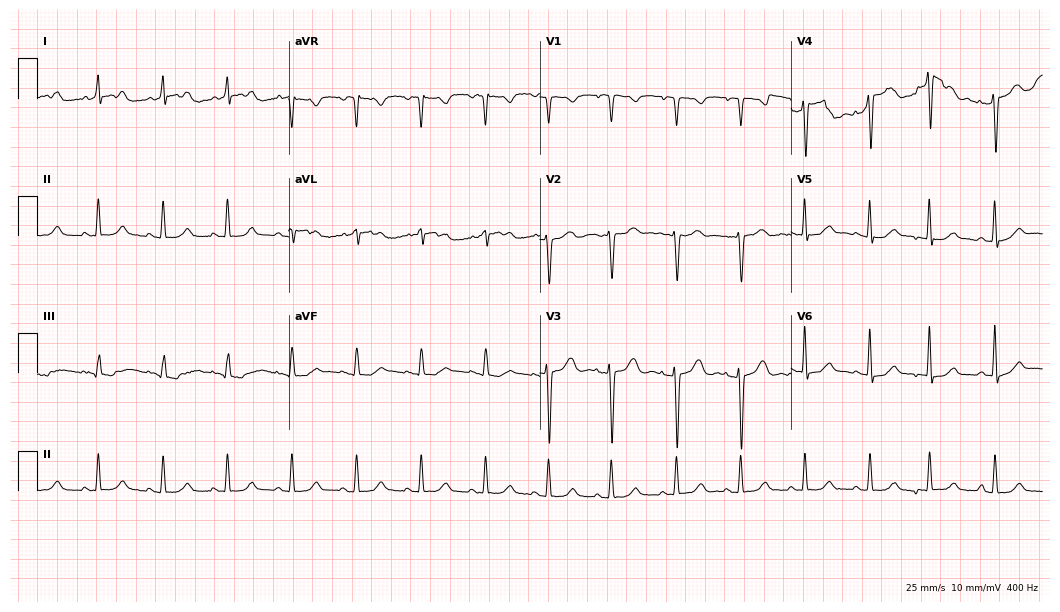
12-lead ECG from a female, 68 years old. Labelled as a normal ECG.